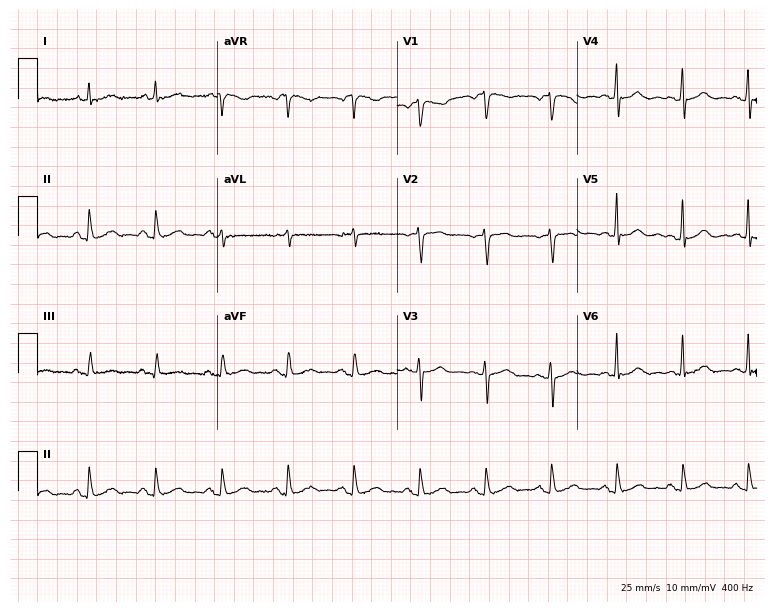
Standard 12-lead ECG recorded from a woman, 66 years old (7.3-second recording at 400 Hz). Read as a normal ECG.